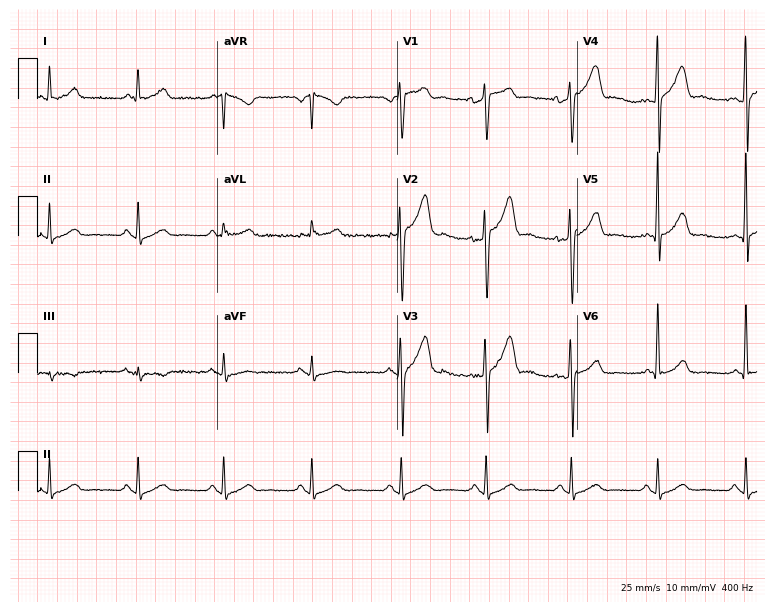
Electrocardiogram (7.3-second recording at 400 Hz), a male patient, 44 years old. Overall reading on record: normal ECG.